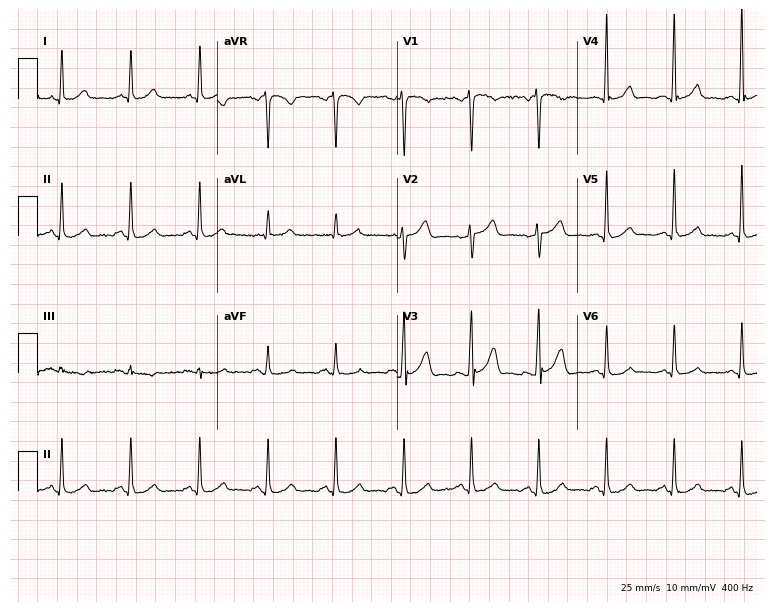
Standard 12-lead ECG recorded from a 46-year-old man (7.3-second recording at 400 Hz). Read as a normal ECG.